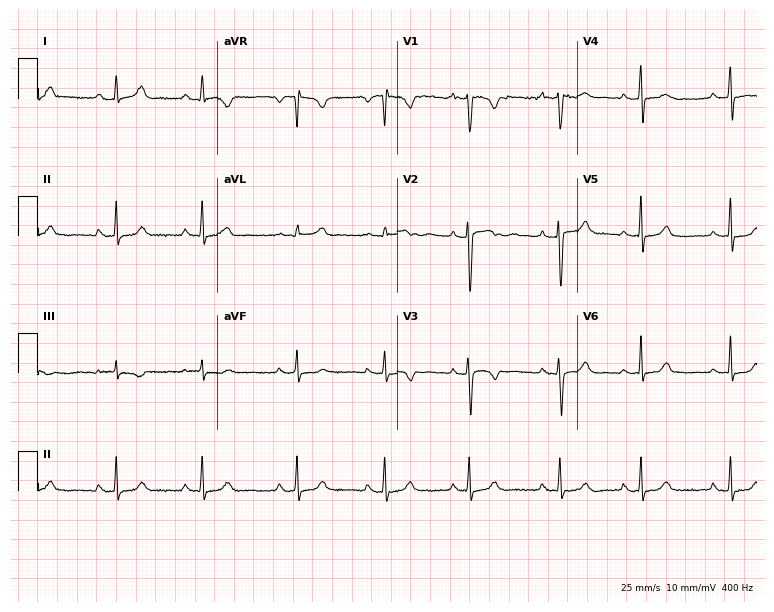
Resting 12-lead electrocardiogram (7.3-second recording at 400 Hz). Patient: an 18-year-old female. None of these six findings is recorded: first-degree AV block, right bundle branch block (RBBB), left bundle branch block (LBBB), sinus bradycardia, atrial fibrillation (AF), sinus tachycardia.